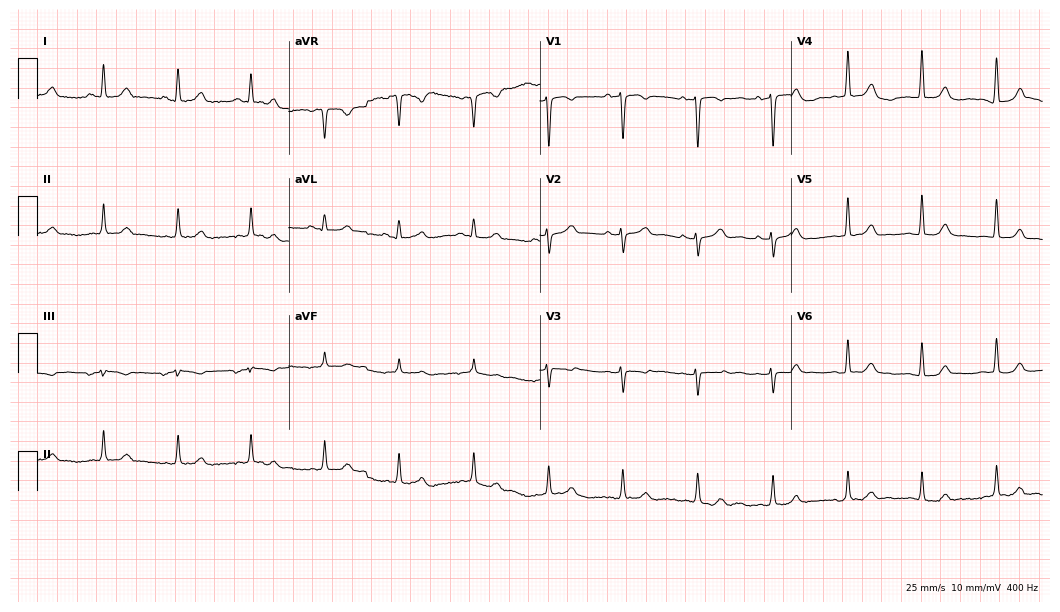
12-lead ECG (10.2-second recording at 400 Hz) from a woman, 42 years old. Labelled as a normal ECG.